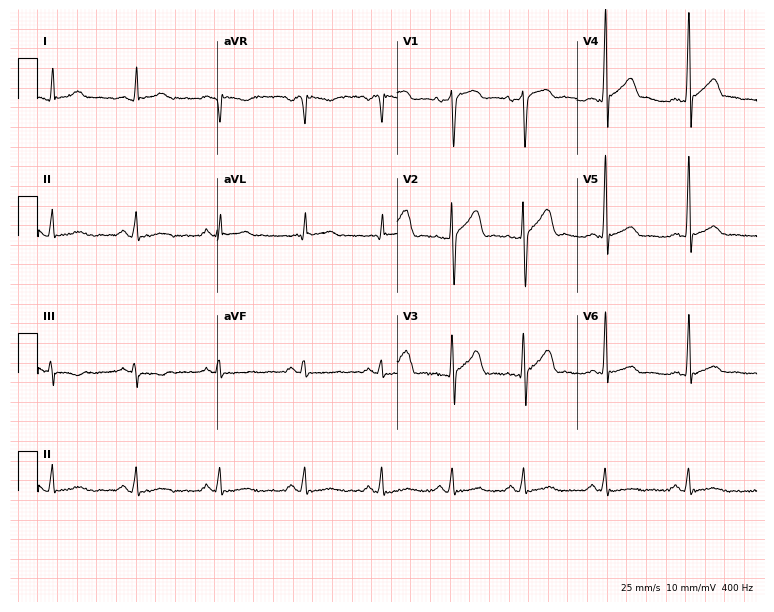
Resting 12-lead electrocardiogram (7.3-second recording at 400 Hz). Patient: a man, 45 years old. None of these six findings is recorded: first-degree AV block, right bundle branch block, left bundle branch block, sinus bradycardia, atrial fibrillation, sinus tachycardia. Only these six findings were labelled.